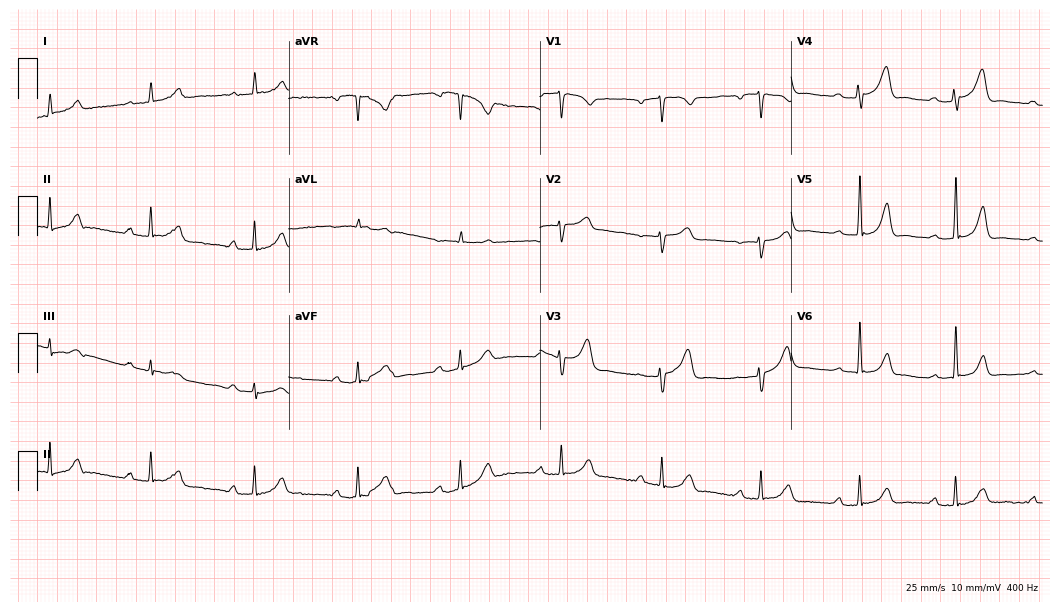
12-lead ECG from a female patient, 69 years old. Screened for six findings — first-degree AV block, right bundle branch block, left bundle branch block, sinus bradycardia, atrial fibrillation, sinus tachycardia — none is recorded. Findings outside these six are not listed.